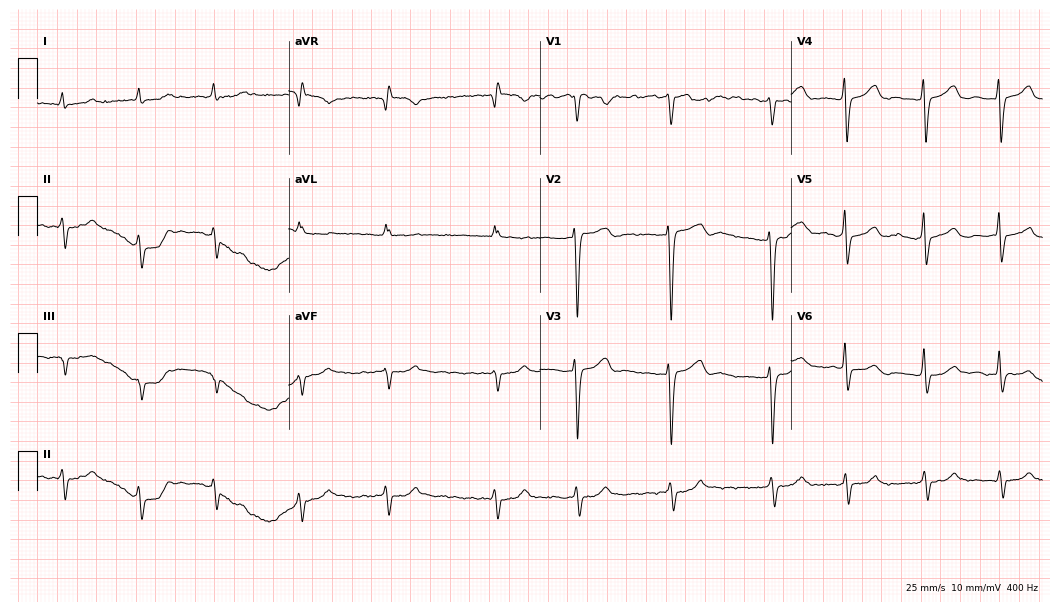
Resting 12-lead electrocardiogram (10.2-second recording at 400 Hz). Patient: a male, 72 years old. The tracing shows atrial fibrillation.